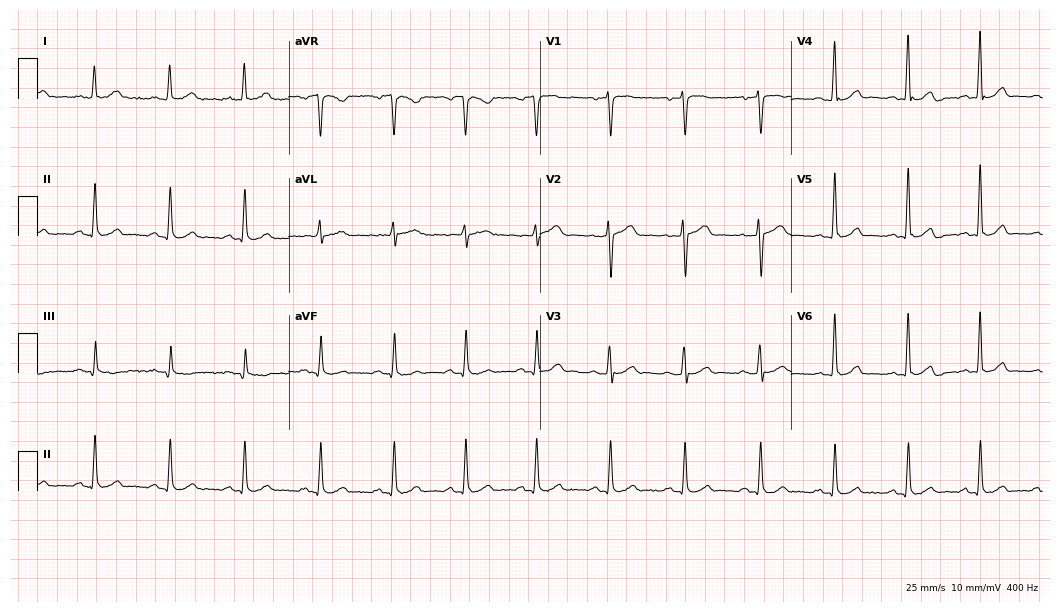
Resting 12-lead electrocardiogram (10.2-second recording at 400 Hz). Patient: a male, 50 years old. Read as a normal ECG.